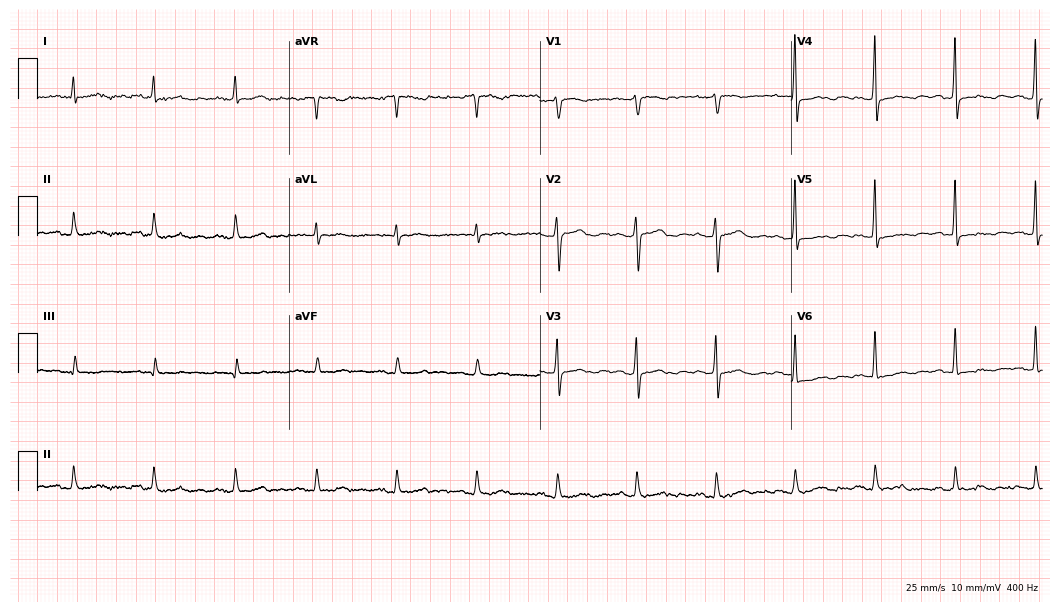
12-lead ECG from a female patient, 59 years old (10.2-second recording at 400 Hz). No first-degree AV block, right bundle branch block (RBBB), left bundle branch block (LBBB), sinus bradycardia, atrial fibrillation (AF) or sinus tachycardia recorded for this tracing.